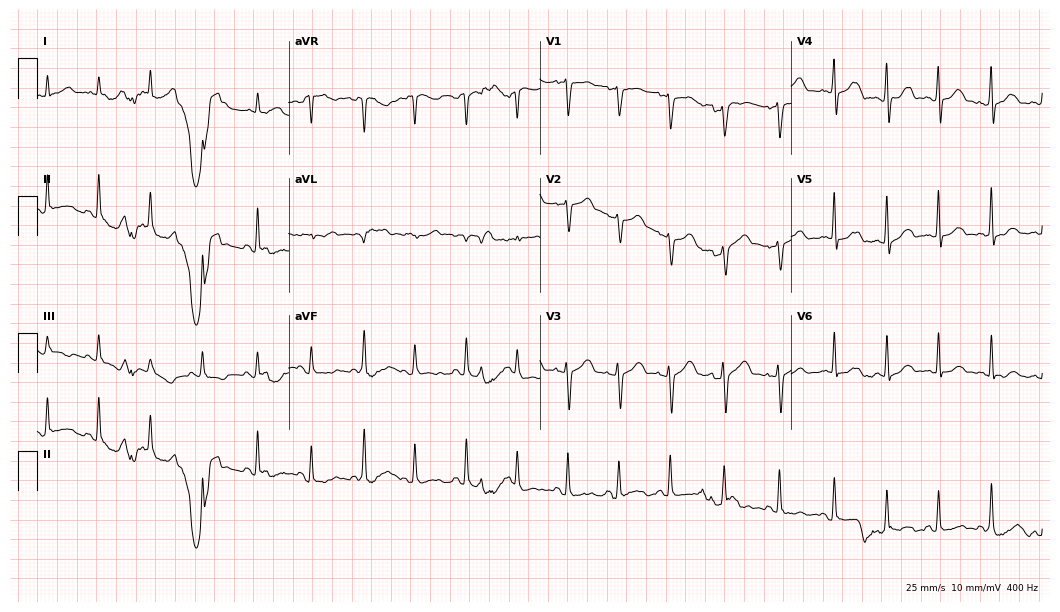
12-lead ECG from a female patient, 21 years old (10.2-second recording at 400 Hz). Shows sinus tachycardia (a sinus rate of 100 beats per minute or more).